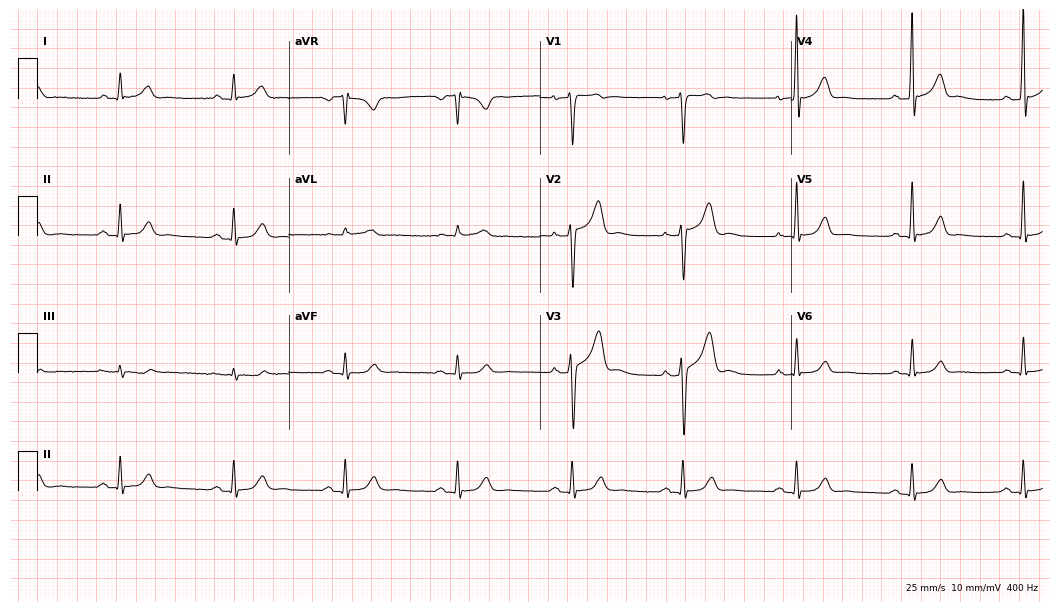
12-lead ECG (10.2-second recording at 400 Hz) from a male, 52 years old. Labelled as a normal ECG.